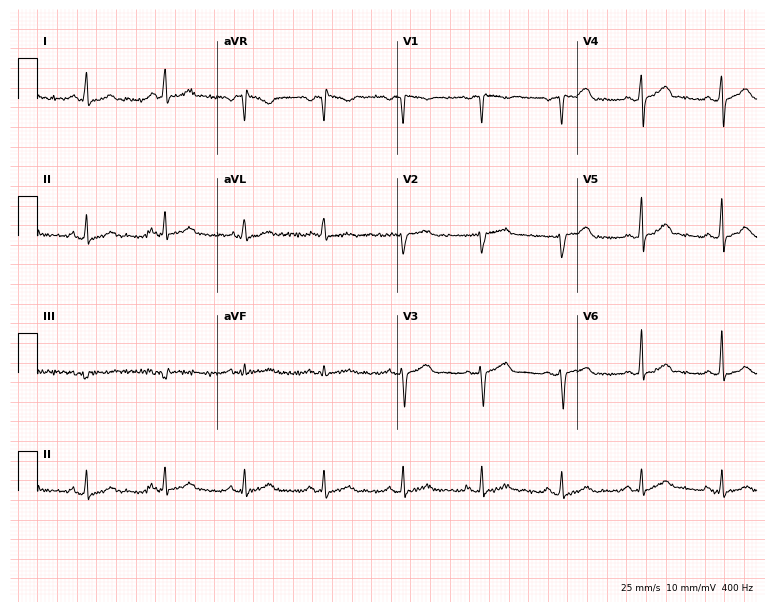
Electrocardiogram, a 37-year-old female. Of the six screened findings (first-degree AV block, right bundle branch block, left bundle branch block, sinus bradycardia, atrial fibrillation, sinus tachycardia), none is recorded.